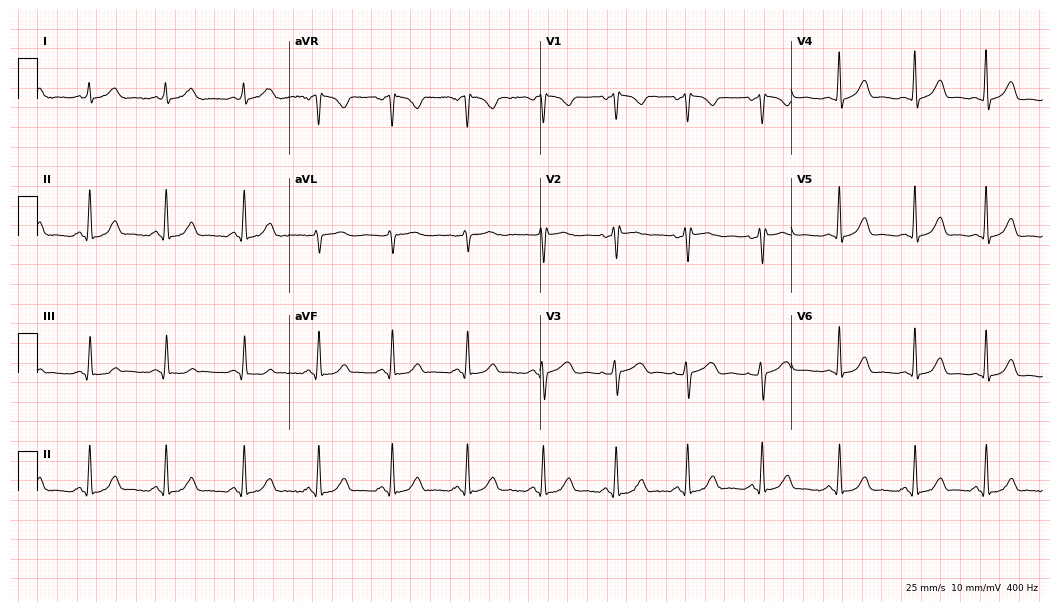
Electrocardiogram (10.2-second recording at 400 Hz), a 43-year-old female patient. Of the six screened findings (first-degree AV block, right bundle branch block (RBBB), left bundle branch block (LBBB), sinus bradycardia, atrial fibrillation (AF), sinus tachycardia), none is recorded.